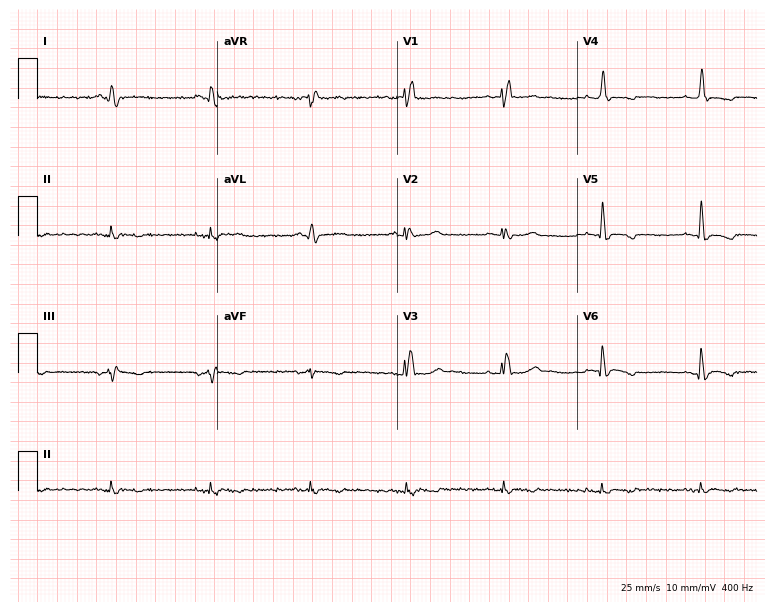
Standard 12-lead ECG recorded from a 61-year-old male (7.3-second recording at 400 Hz). The tracing shows right bundle branch block (RBBB).